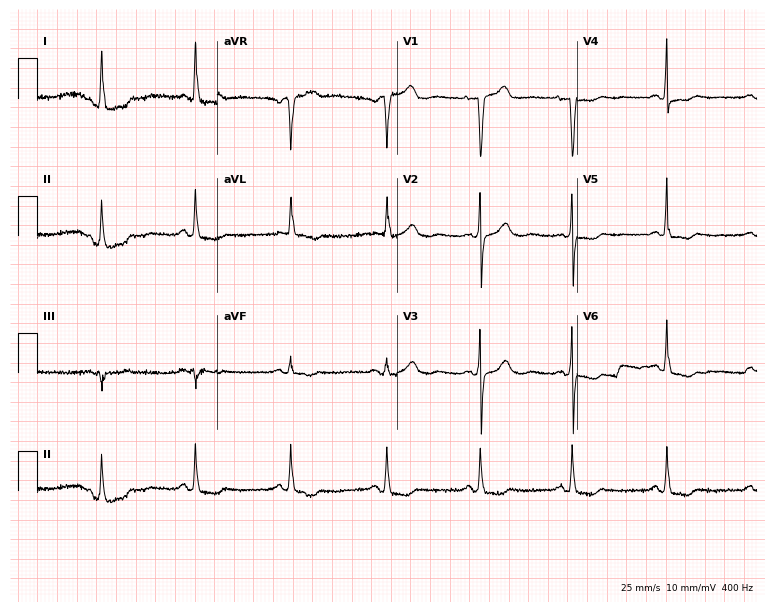
12-lead ECG from an 82-year-old woman (7.3-second recording at 400 Hz). No first-degree AV block, right bundle branch block, left bundle branch block, sinus bradycardia, atrial fibrillation or sinus tachycardia recorded for this tracing.